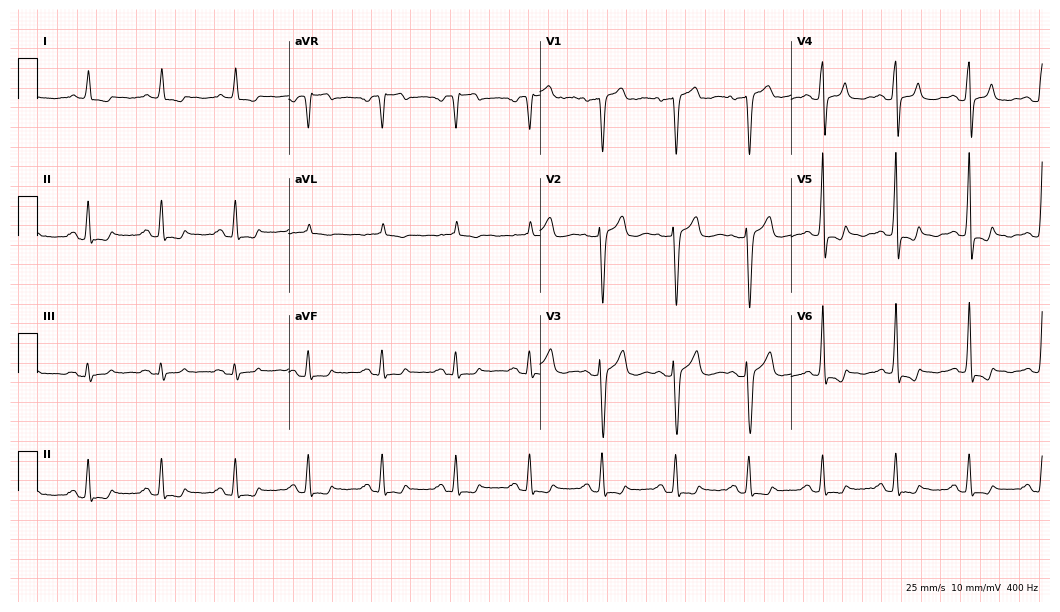
Resting 12-lead electrocardiogram. Patient: a female, 72 years old. None of these six findings is recorded: first-degree AV block, right bundle branch block, left bundle branch block, sinus bradycardia, atrial fibrillation, sinus tachycardia.